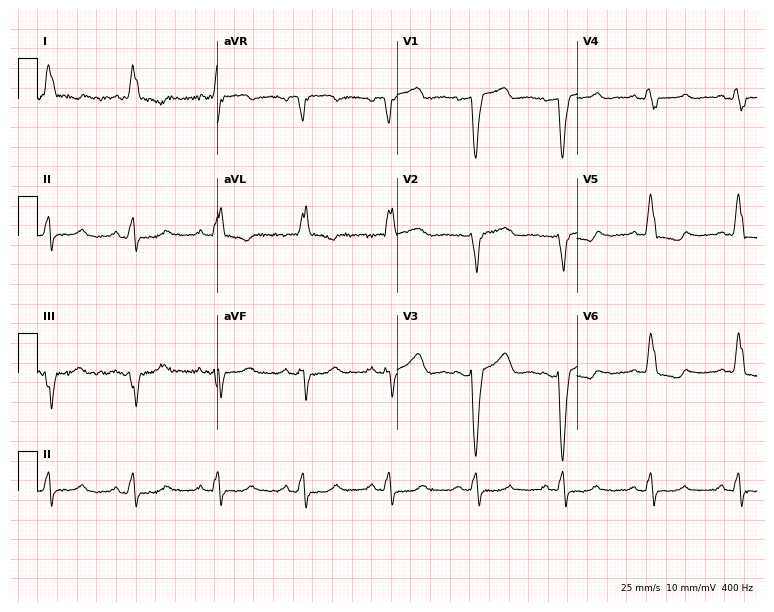
Resting 12-lead electrocardiogram (7.3-second recording at 400 Hz). Patient: an 80-year-old woman. None of these six findings is recorded: first-degree AV block, right bundle branch block, left bundle branch block, sinus bradycardia, atrial fibrillation, sinus tachycardia. Other findings, if any, are not listed.